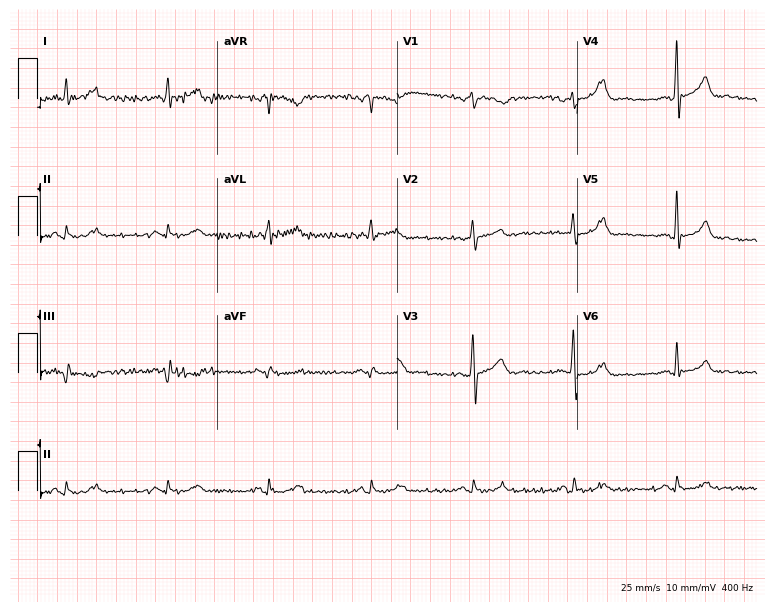
Electrocardiogram (7.3-second recording at 400 Hz), a male, 40 years old. Of the six screened findings (first-degree AV block, right bundle branch block, left bundle branch block, sinus bradycardia, atrial fibrillation, sinus tachycardia), none is recorded. Findings outside these six are not listed.